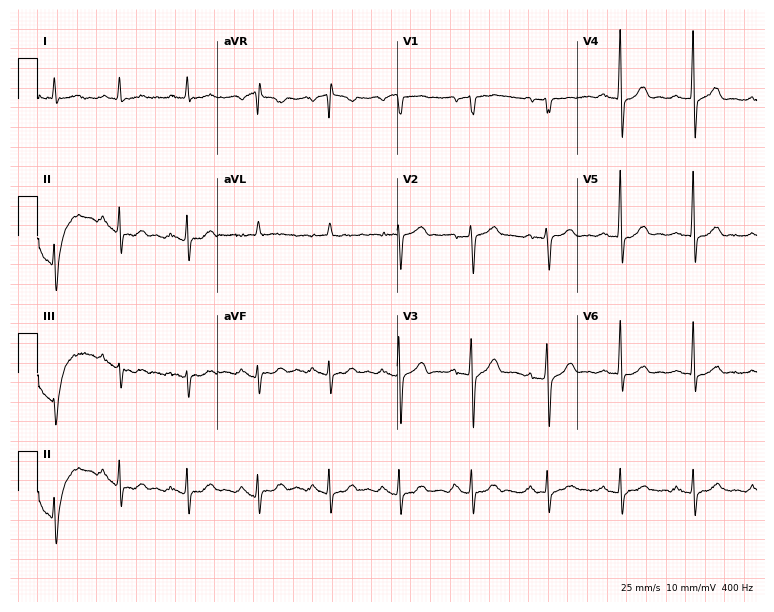
ECG (7.3-second recording at 400 Hz) — an 82-year-old male patient. Labelled as a normal ECG.